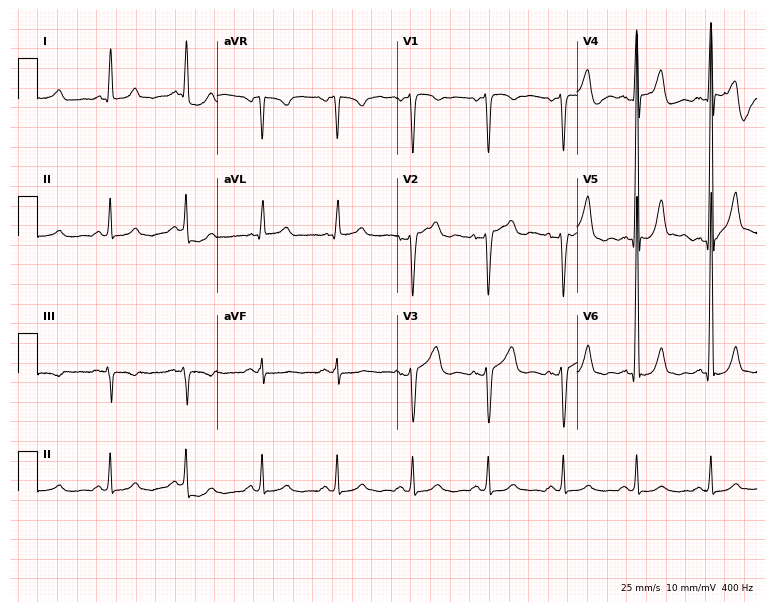
Standard 12-lead ECG recorded from a man, 61 years old (7.3-second recording at 400 Hz). None of these six findings is recorded: first-degree AV block, right bundle branch block, left bundle branch block, sinus bradycardia, atrial fibrillation, sinus tachycardia. Findings outside these six are not listed.